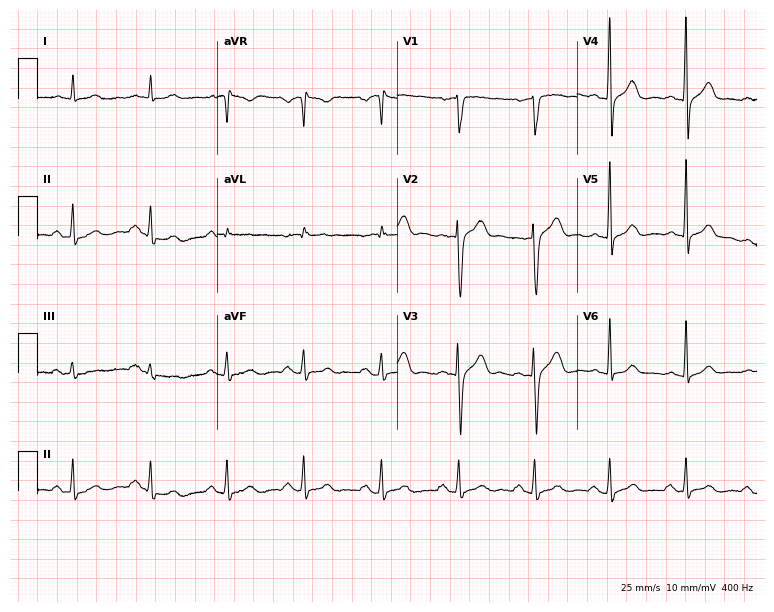
Electrocardiogram, a male, 70 years old. Of the six screened findings (first-degree AV block, right bundle branch block, left bundle branch block, sinus bradycardia, atrial fibrillation, sinus tachycardia), none is recorded. Findings outside these six are not listed.